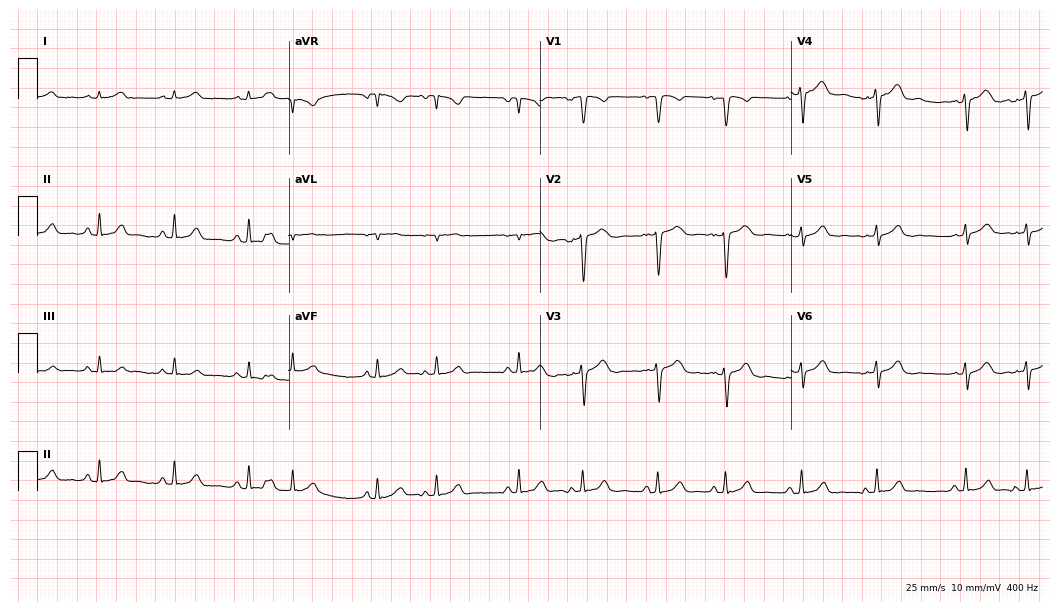
12-lead ECG from a 34-year-old male patient. No first-degree AV block, right bundle branch block, left bundle branch block, sinus bradycardia, atrial fibrillation or sinus tachycardia recorded for this tracing.